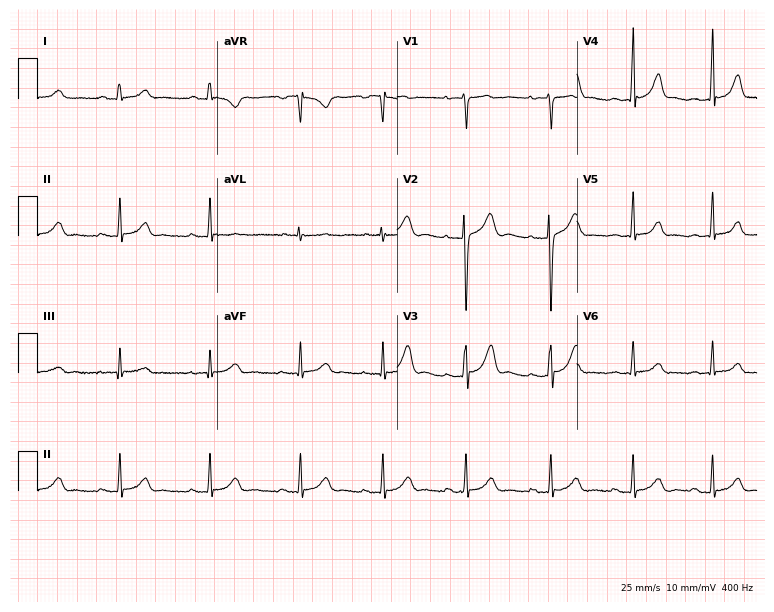
Standard 12-lead ECG recorded from a 19-year-old female patient. Read as a normal ECG.